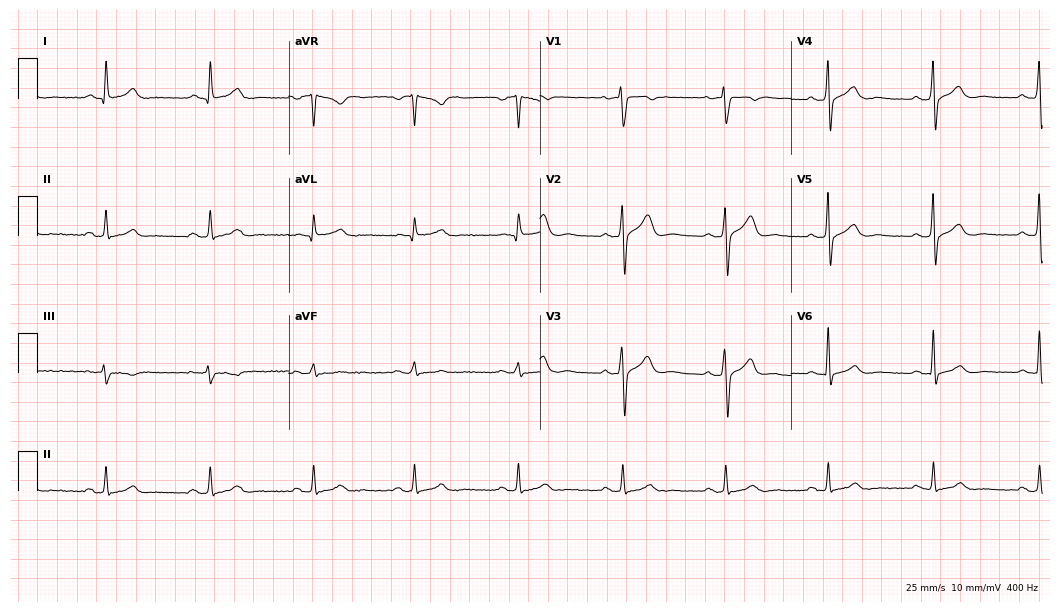
Electrocardiogram (10.2-second recording at 400 Hz), a man, 41 years old. Of the six screened findings (first-degree AV block, right bundle branch block, left bundle branch block, sinus bradycardia, atrial fibrillation, sinus tachycardia), none is recorded. Findings outside these six are not listed.